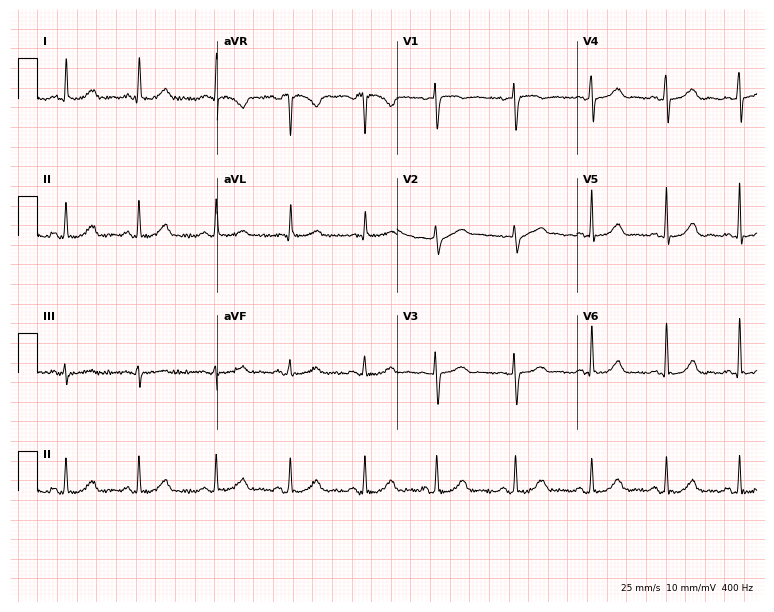
Standard 12-lead ECG recorded from a female, 58 years old (7.3-second recording at 400 Hz). Read as a normal ECG.